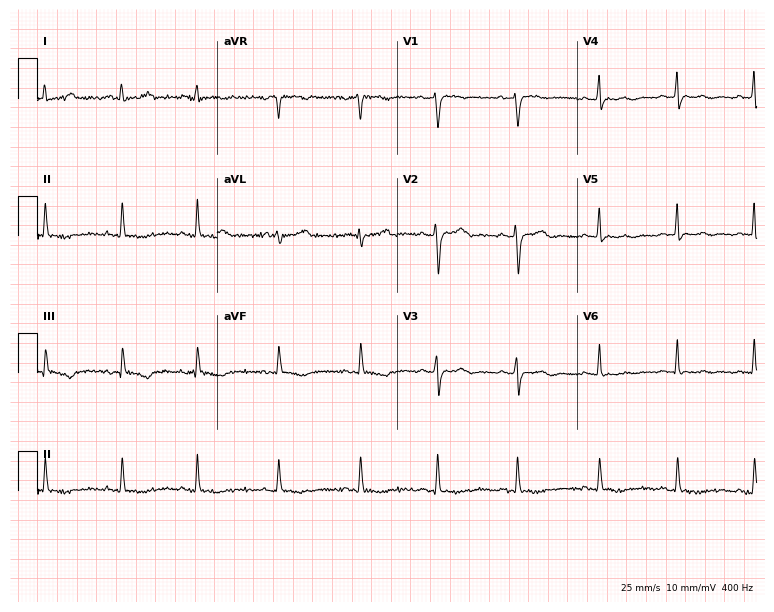
Electrocardiogram (7.3-second recording at 400 Hz), a female patient, 30 years old. Of the six screened findings (first-degree AV block, right bundle branch block (RBBB), left bundle branch block (LBBB), sinus bradycardia, atrial fibrillation (AF), sinus tachycardia), none is recorded.